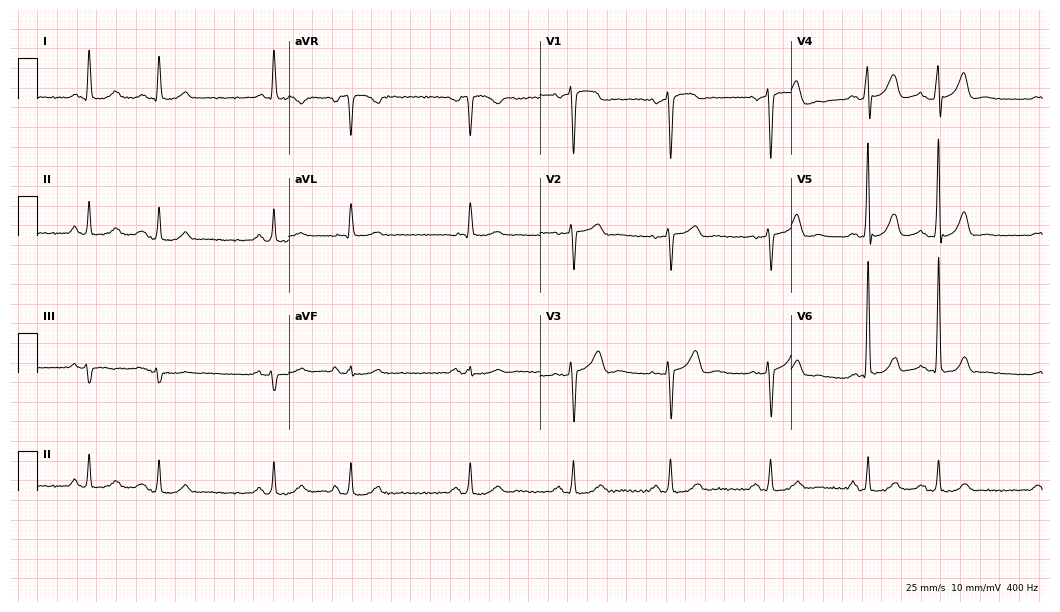
Resting 12-lead electrocardiogram (10.2-second recording at 400 Hz). Patient: an 80-year-old male. None of these six findings is recorded: first-degree AV block, right bundle branch block, left bundle branch block, sinus bradycardia, atrial fibrillation, sinus tachycardia. Other findings, if any, are not listed.